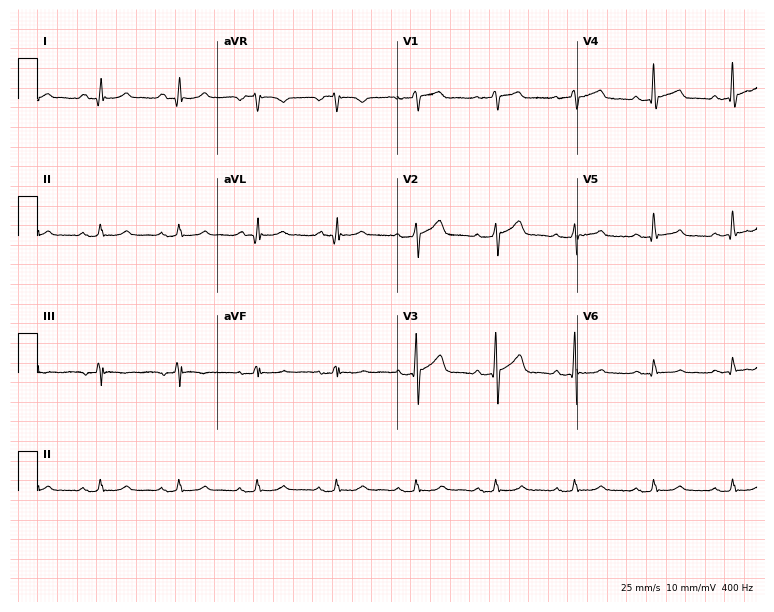
Electrocardiogram (7.3-second recording at 400 Hz), a 50-year-old male patient. Overall reading on record: normal ECG.